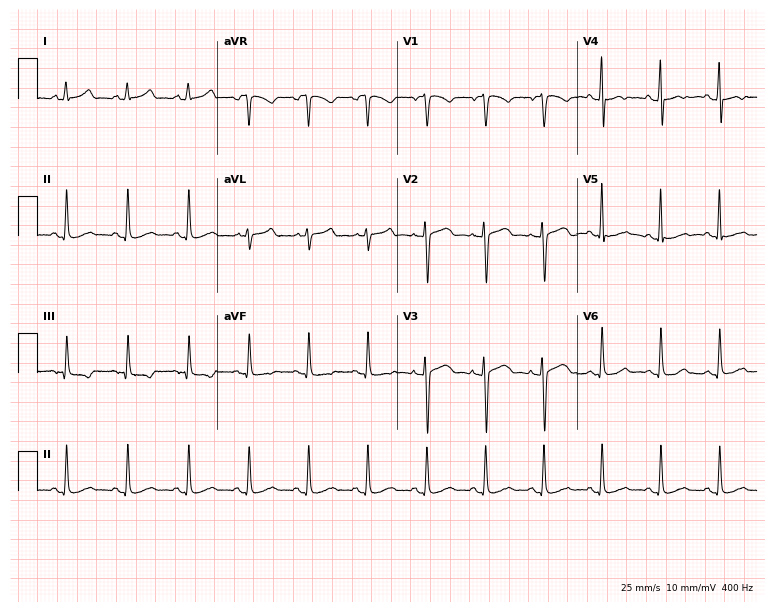
Resting 12-lead electrocardiogram (7.3-second recording at 400 Hz). Patient: a 19-year-old female. Read as a normal ECG.